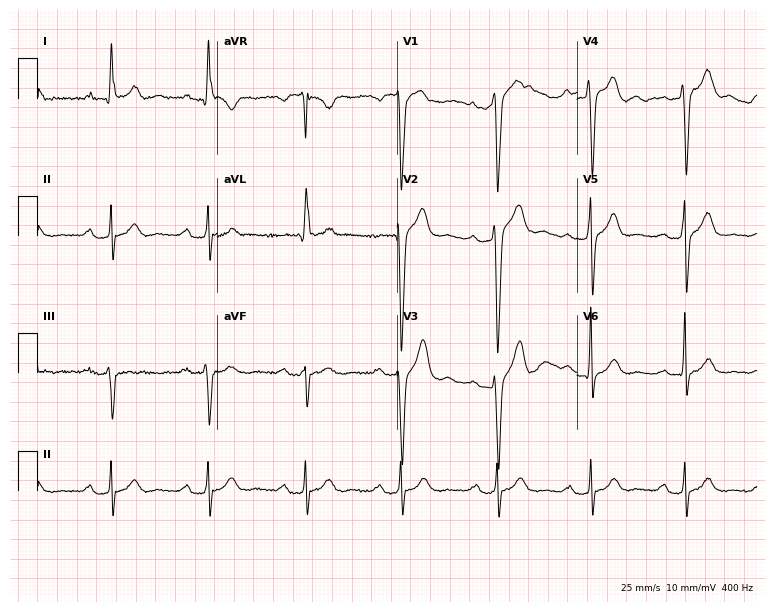
ECG — a male patient, 65 years old. Screened for six findings — first-degree AV block, right bundle branch block, left bundle branch block, sinus bradycardia, atrial fibrillation, sinus tachycardia — none is recorded.